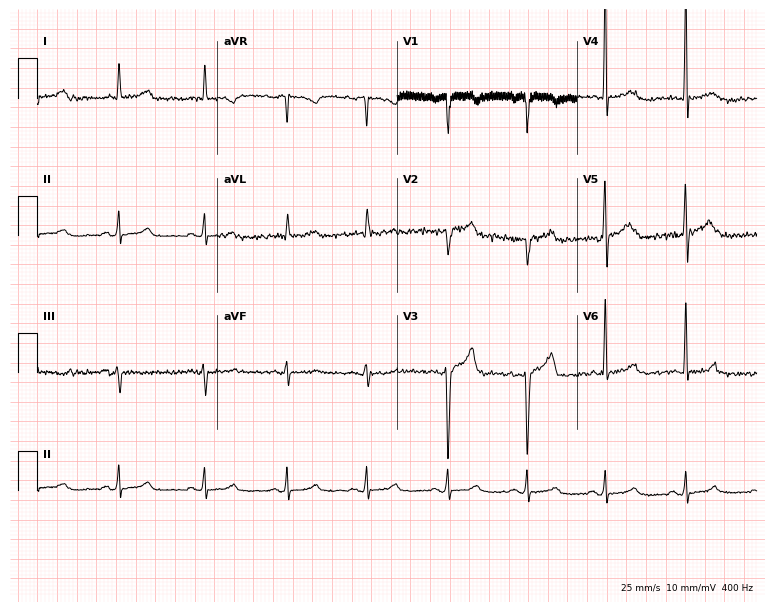
12-lead ECG from a 51-year-old male patient (7.3-second recording at 400 Hz). No first-degree AV block, right bundle branch block (RBBB), left bundle branch block (LBBB), sinus bradycardia, atrial fibrillation (AF) or sinus tachycardia recorded for this tracing.